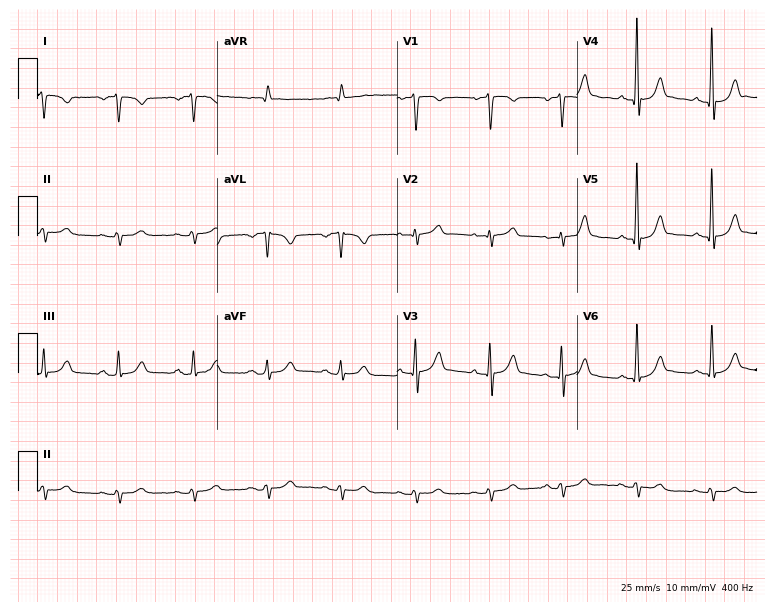
ECG — a man, 80 years old. Screened for six findings — first-degree AV block, right bundle branch block (RBBB), left bundle branch block (LBBB), sinus bradycardia, atrial fibrillation (AF), sinus tachycardia — none is recorded.